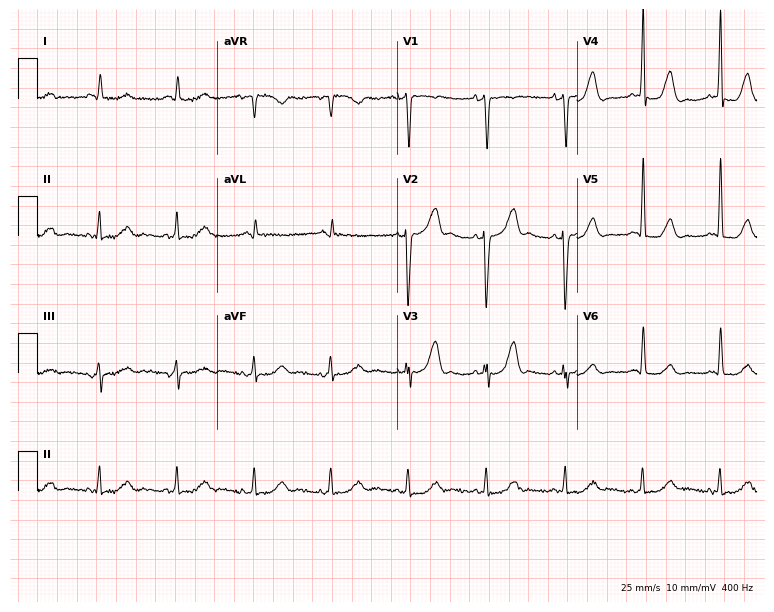
Standard 12-lead ECG recorded from a 54-year-old woman. None of these six findings is recorded: first-degree AV block, right bundle branch block, left bundle branch block, sinus bradycardia, atrial fibrillation, sinus tachycardia.